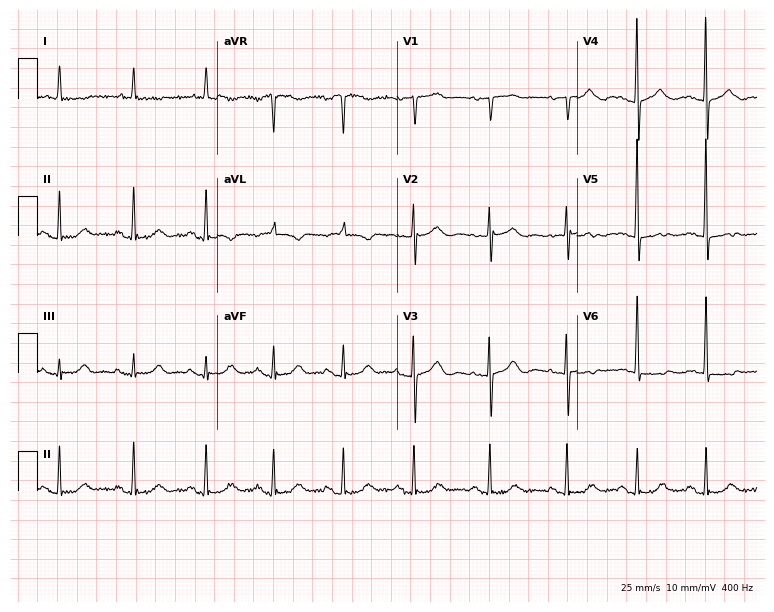
Standard 12-lead ECG recorded from a 79-year-old woman. None of these six findings is recorded: first-degree AV block, right bundle branch block (RBBB), left bundle branch block (LBBB), sinus bradycardia, atrial fibrillation (AF), sinus tachycardia.